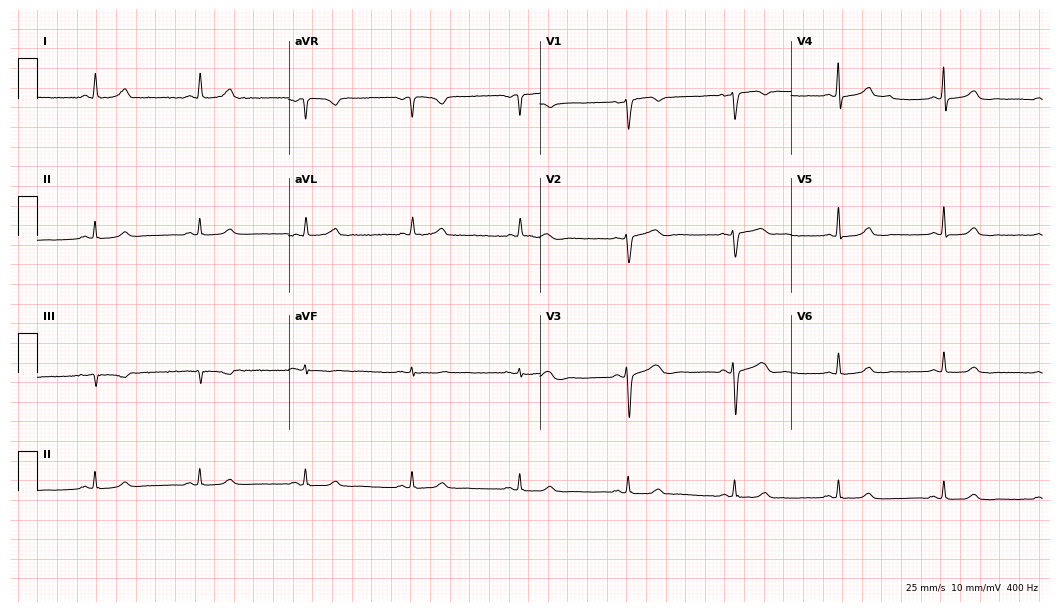
Resting 12-lead electrocardiogram (10.2-second recording at 400 Hz). Patient: a 57-year-old female. Read as a normal ECG.